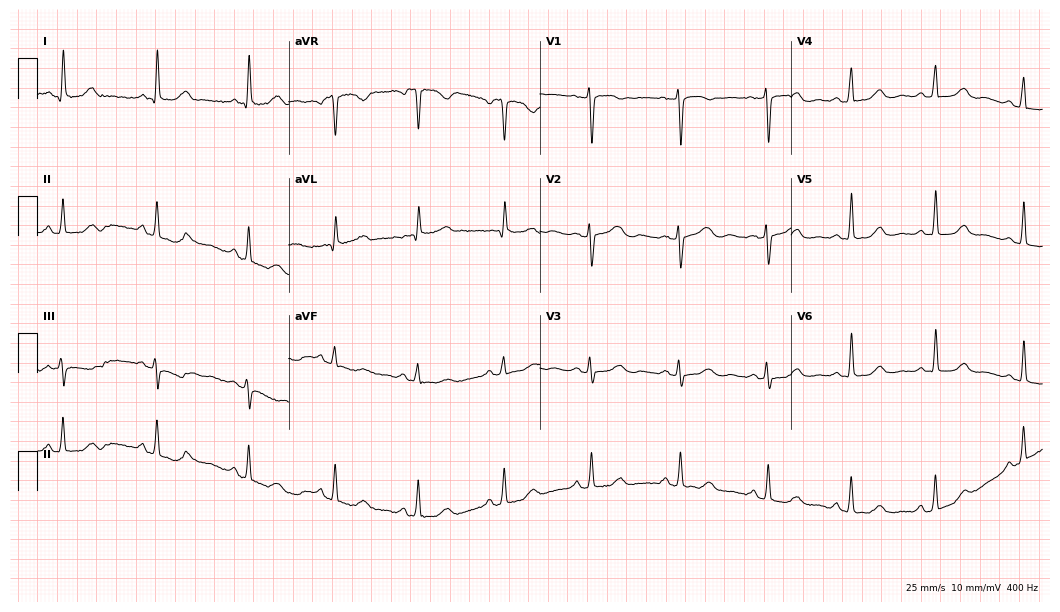
Resting 12-lead electrocardiogram. Patient: a 59-year-old woman. Read as a normal ECG.